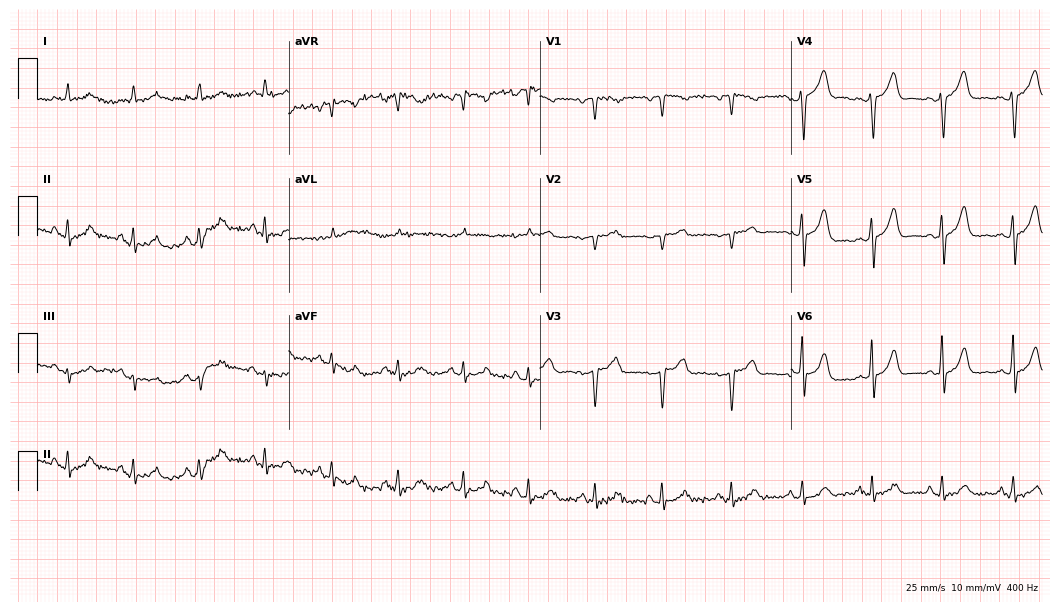
12-lead ECG (10.2-second recording at 400 Hz) from an 81-year-old female. Screened for six findings — first-degree AV block, right bundle branch block, left bundle branch block, sinus bradycardia, atrial fibrillation, sinus tachycardia — none is recorded. Findings outside these six are not listed.